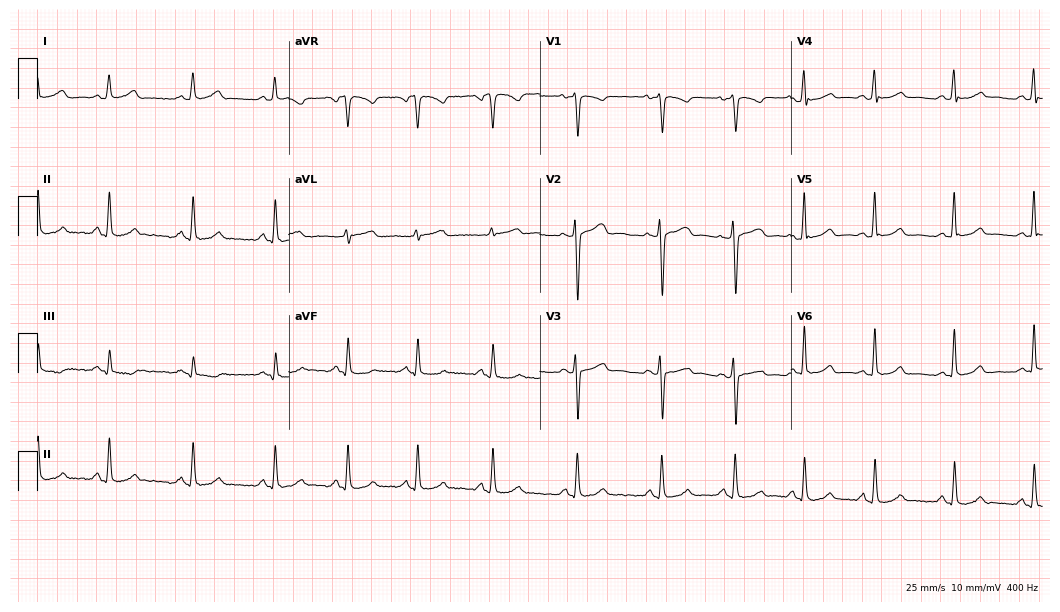
ECG (10.2-second recording at 400 Hz) — a 25-year-old female. Labelled as a normal ECG.